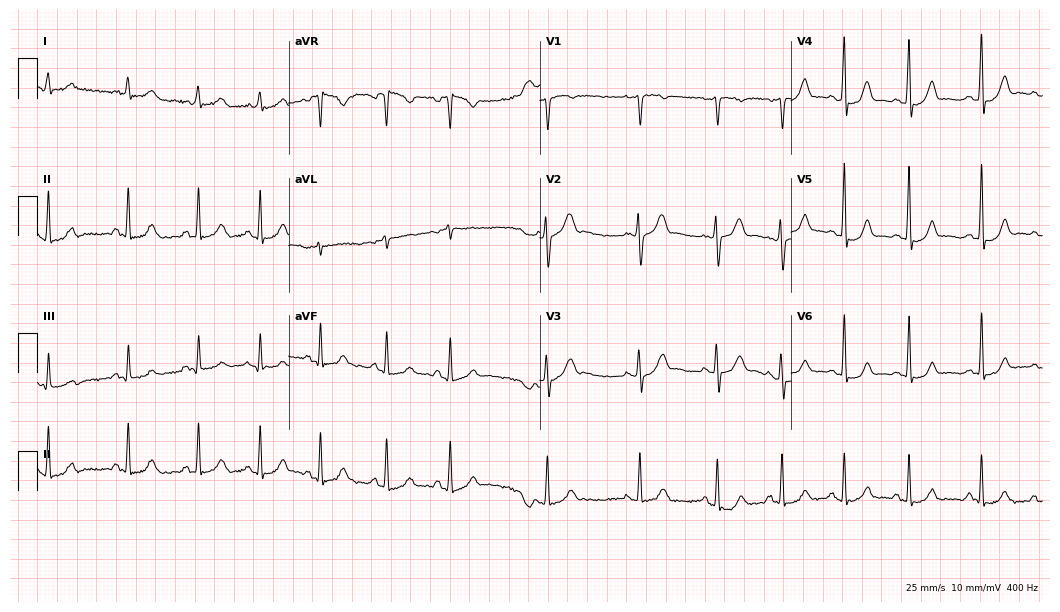
Standard 12-lead ECG recorded from a female patient, 26 years old (10.2-second recording at 400 Hz). Read as a normal ECG.